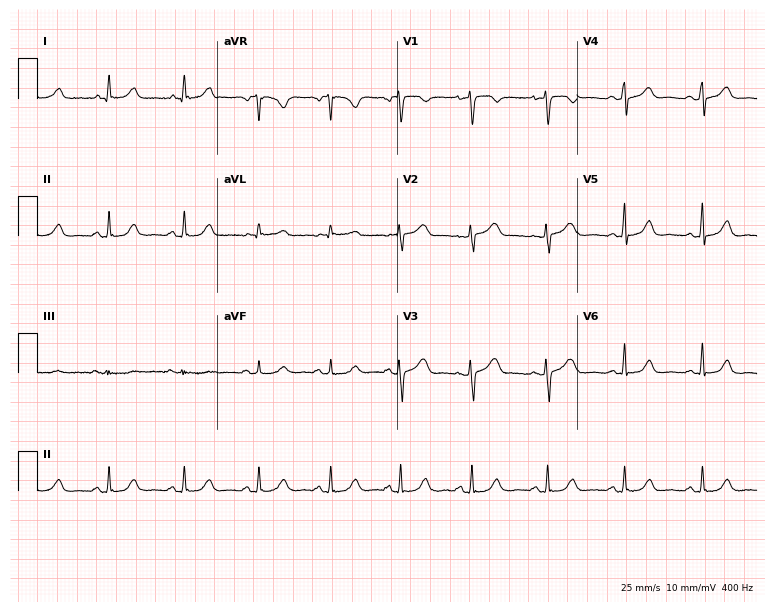
12-lead ECG from a 49-year-old woman. Labelled as a normal ECG.